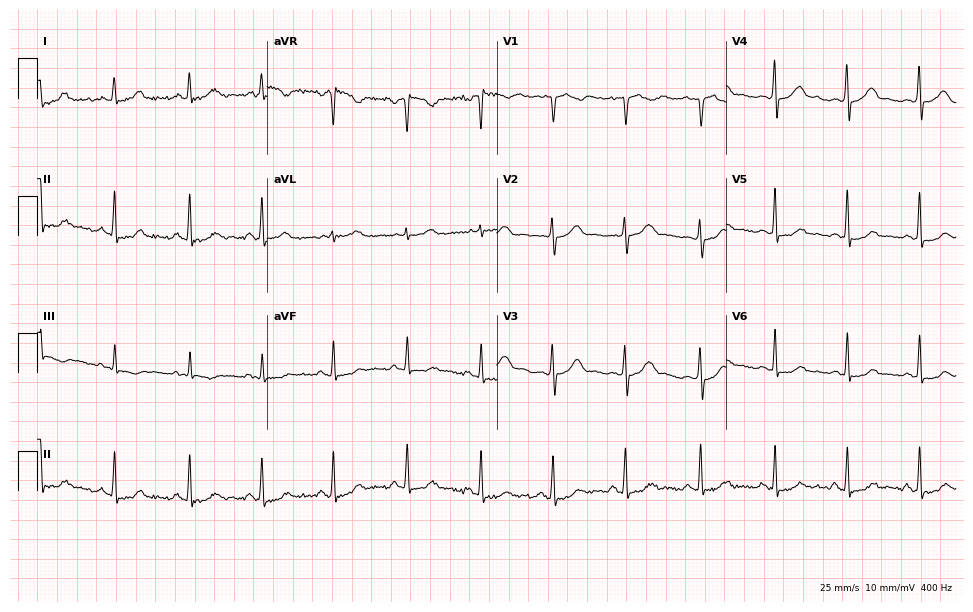
12-lead ECG (9.4-second recording at 400 Hz) from a woman, 24 years old. Labelled as a normal ECG.